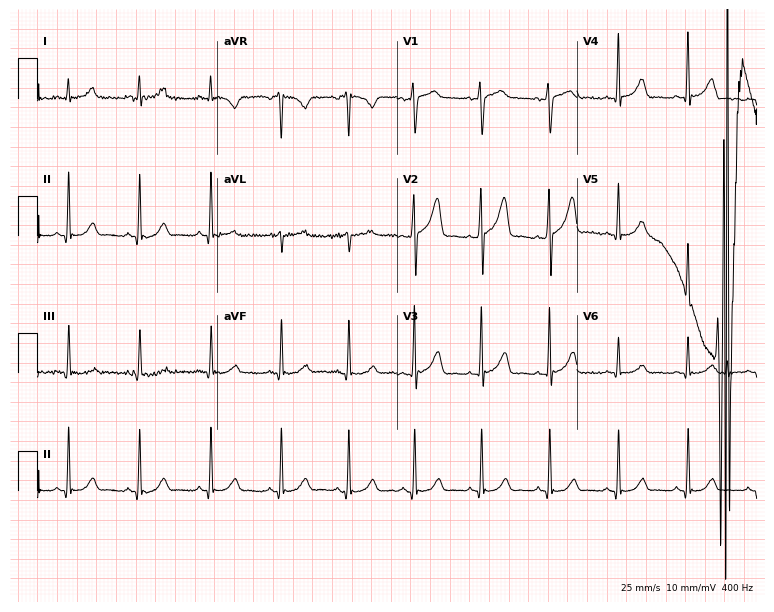
12-lead ECG from a 50-year-old male patient (7.3-second recording at 400 Hz). Recorded interpretation: within normal limits.